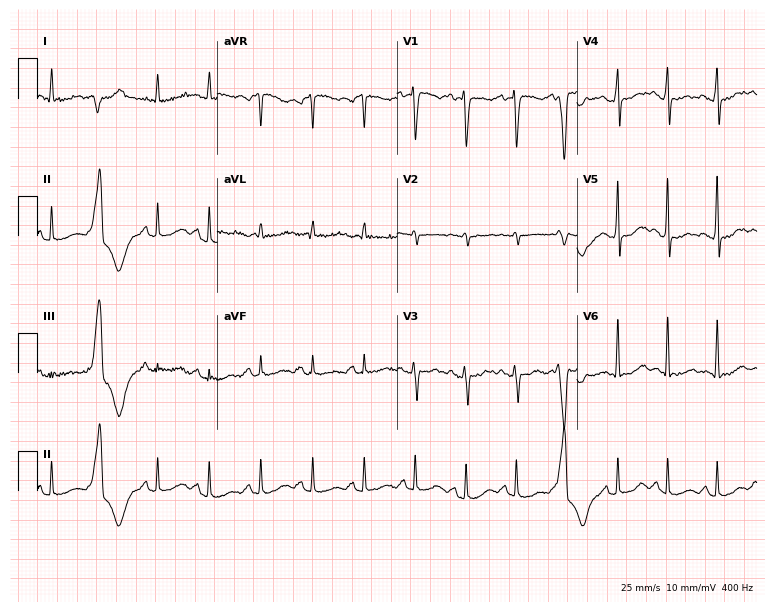
Standard 12-lead ECG recorded from a 41-year-old female patient. The tracing shows atrial fibrillation (AF), sinus tachycardia (a sinus rate of 100 beats per minute or more).